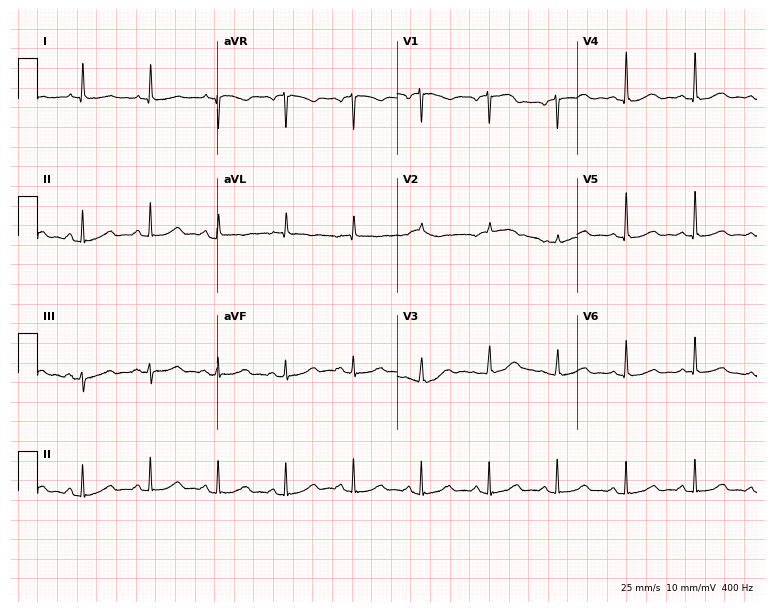
Electrocardiogram (7.3-second recording at 400 Hz), a female, 62 years old. Overall reading on record: normal ECG.